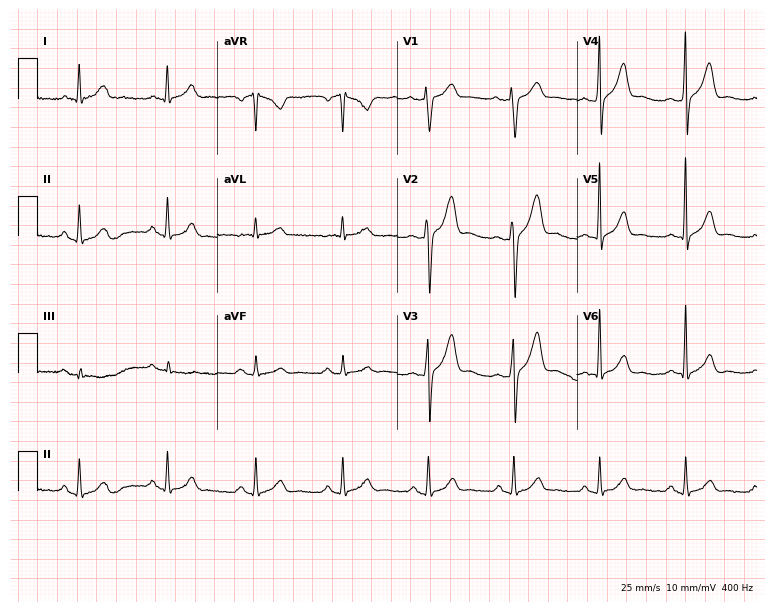
12-lead ECG from a 48-year-old man. No first-degree AV block, right bundle branch block, left bundle branch block, sinus bradycardia, atrial fibrillation or sinus tachycardia recorded for this tracing. Only these six findings were labelled.